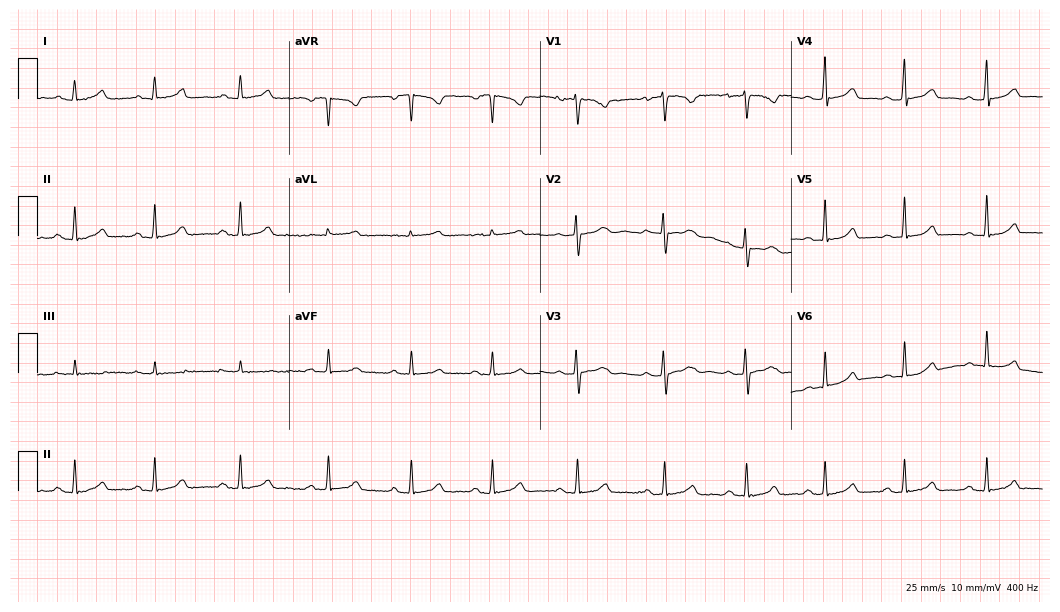
12-lead ECG from a 21-year-old female. Recorded interpretation: within normal limits.